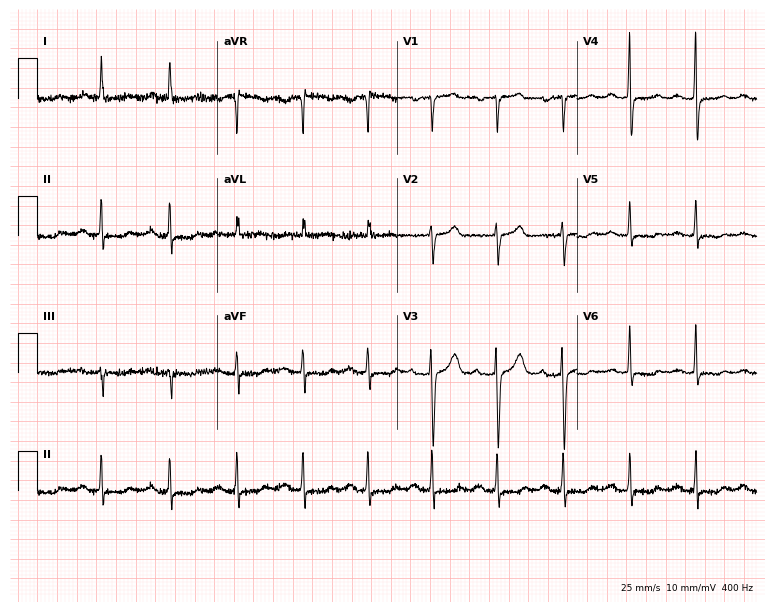
Standard 12-lead ECG recorded from a 55-year-old female. None of these six findings is recorded: first-degree AV block, right bundle branch block (RBBB), left bundle branch block (LBBB), sinus bradycardia, atrial fibrillation (AF), sinus tachycardia. Other findings, if any, are not listed.